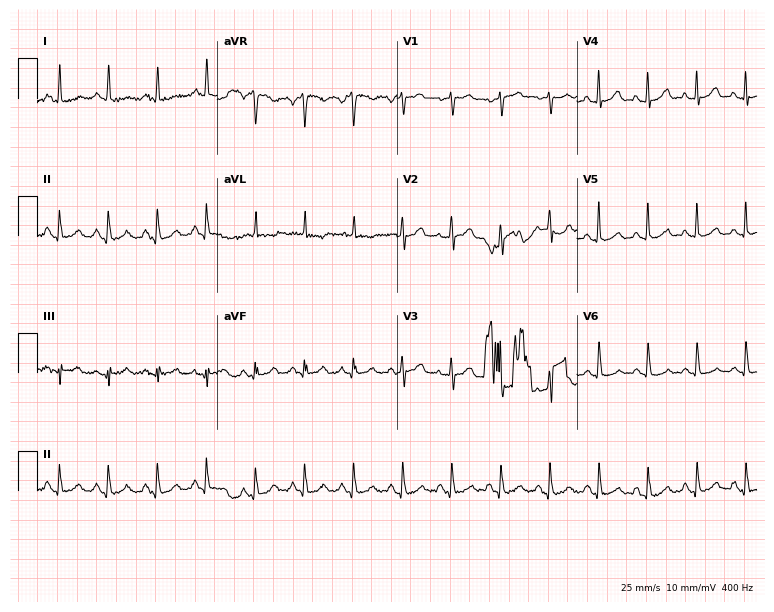
Standard 12-lead ECG recorded from a 60-year-old female (7.3-second recording at 400 Hz). The tracing shows sinus tachycardia (a sinus rate of 100 beats per minute or more).